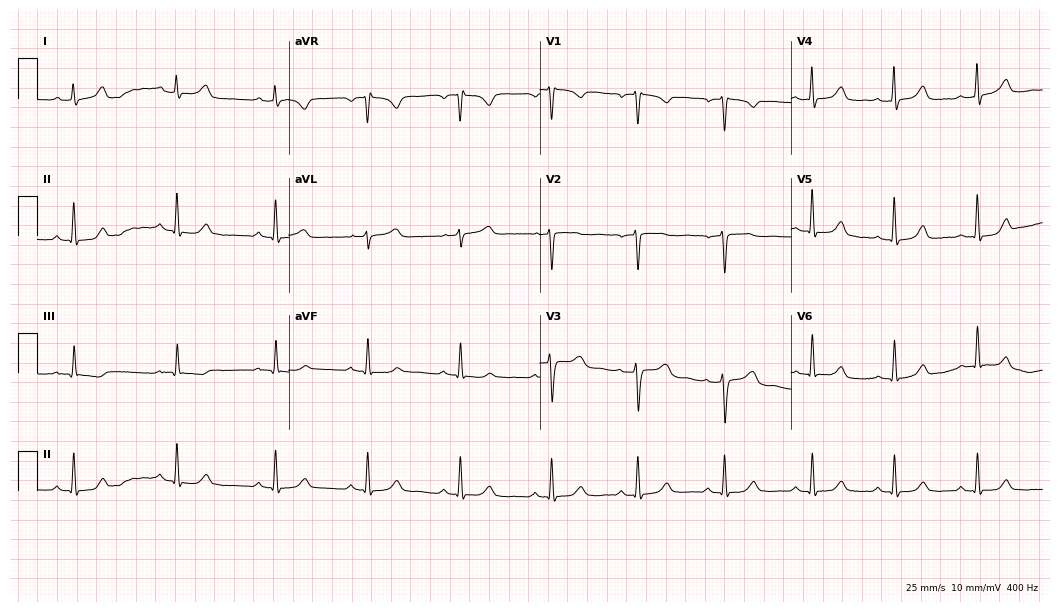
Standard 12-lead ECG recorded from a woman, 44 years old (10.2-second recording at 400 Hz). None of these six findings is recorded: first-degree AV block, right bundle branch block (RBBB), left bundle branch block (LBBB), sinus bradycardia, atrial fibrillation (AF), sinus tachycardia. Only these six findings were labelled.